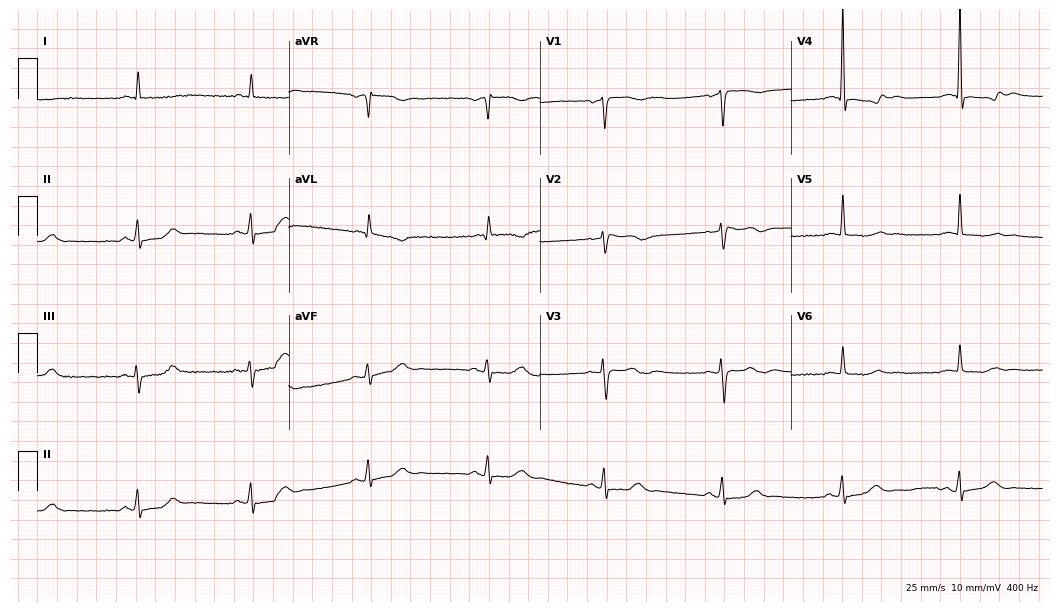
12-lead ECG from a 66-year-old woman (10.2-second recording at 400 Hz). No first-degree AV block, right bundle branch block, left bundle branch block, sinus bradycardia, atrial fibrillation or sinus tachycardia recorded for this tracing.